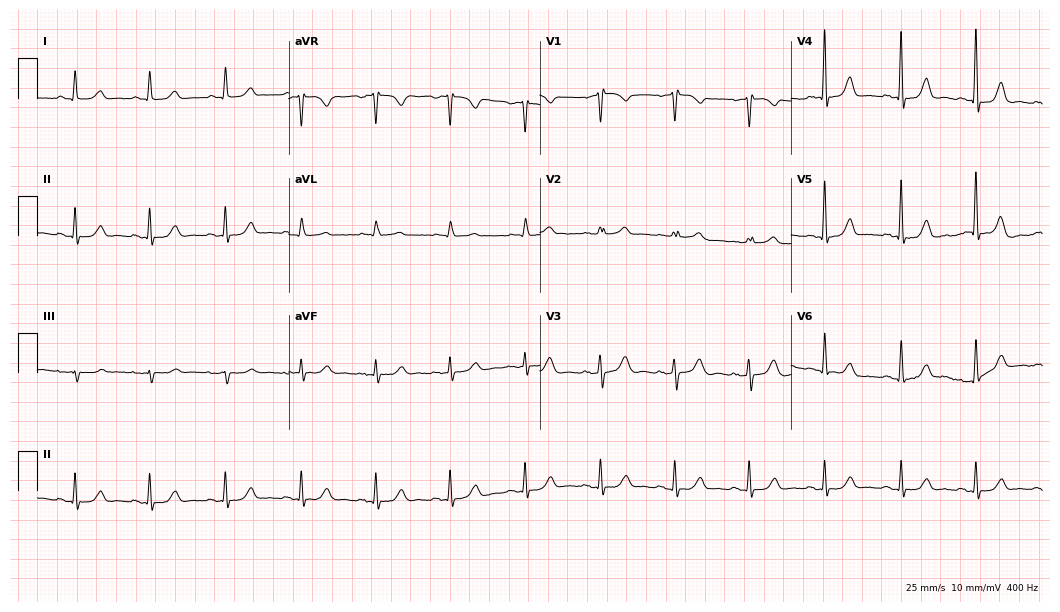
Resting 12-lead electrocardiogram. Patient: a woman, 62 years old. None of these six findings is recorded: first-degree AV block, right bundle branch block, left bundle branch block, sinus bradycardia, atrial fibrillation, sinus tachycardia.